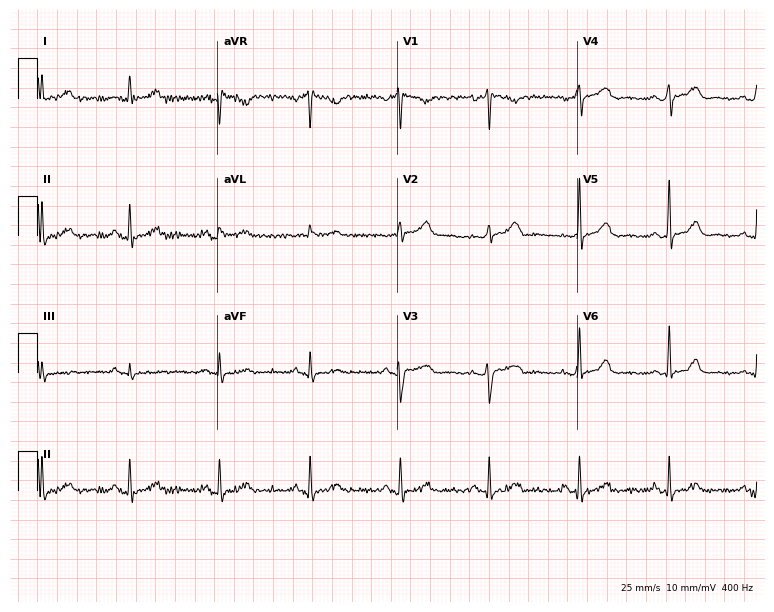
Electrocardiogram (7.3-second recording at 400 Hz), a female, 55 years old. Of the six screened findings (first-degree AV block, right bundle branch block (RBBB), left bundle branch block (LBBB), sinus bradycardia, atrial fibrillation (AF), sinus tachycardia), none is recorded. Other findings, if any, are not listed.